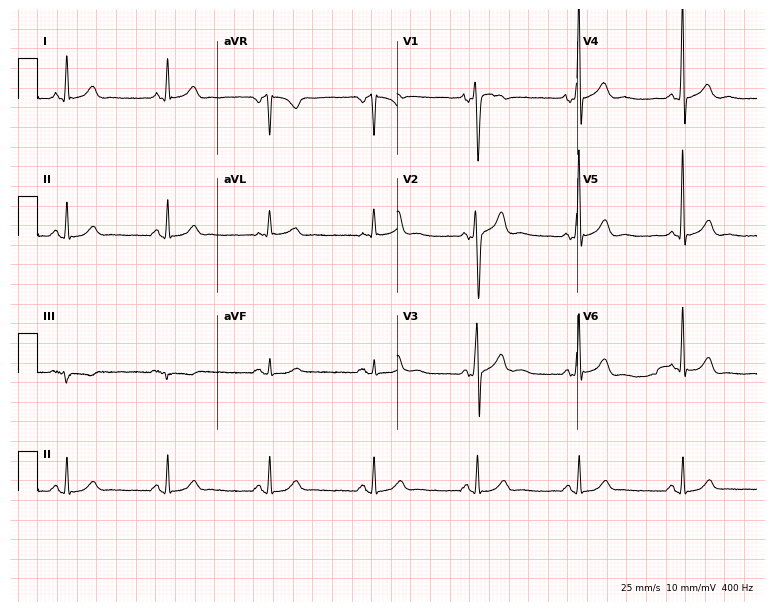
Standard 12-lead ECG recorded from a male, 56 years old (7.3-second recording at 400 Hz). None of these six findings is recorded: first-degree AV block, right bundle branch block (RBBB), left bundle branch block (LBBB), sinus bradycardia, atrial fibrillation (AF), sinus tachycardia.